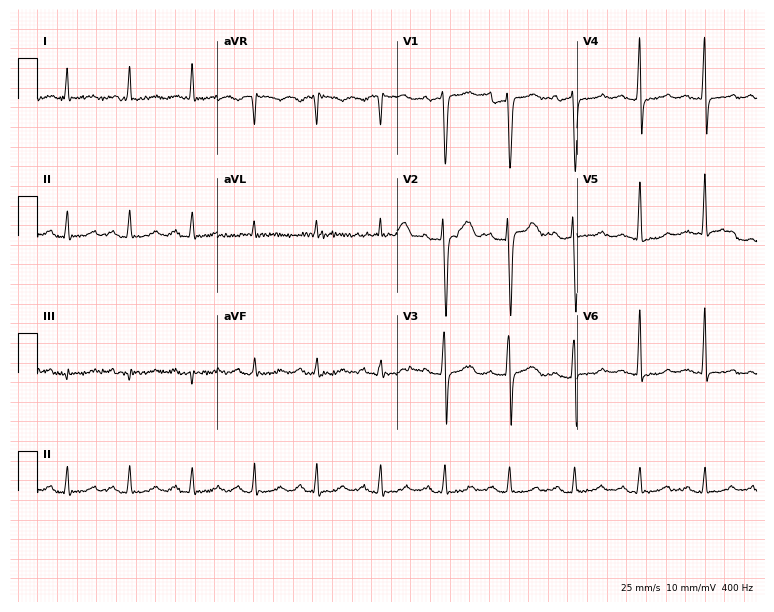
Electrocardiogram (7.3-second recording at 400 Hz), a male, 44 years old. Of the six screened findings (first-degree AV block, right bundle branch block, left bundle branch block, sinus bradycardia, atrial fibrillation, sinus tachycardia), none is recorded. Other findings, if any, are not listed.